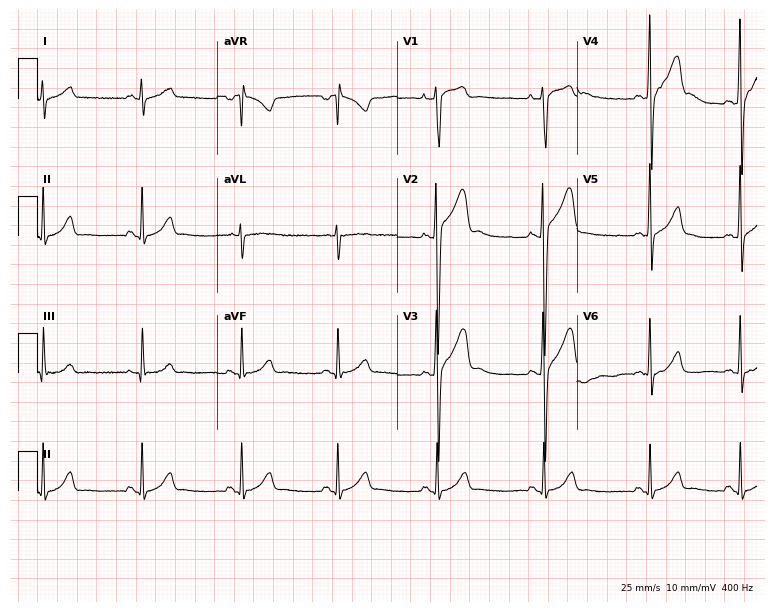
ECG (7.3-second recording at 400 Hz) — a 24-year-old male patient. Labelled as a normal ECG.